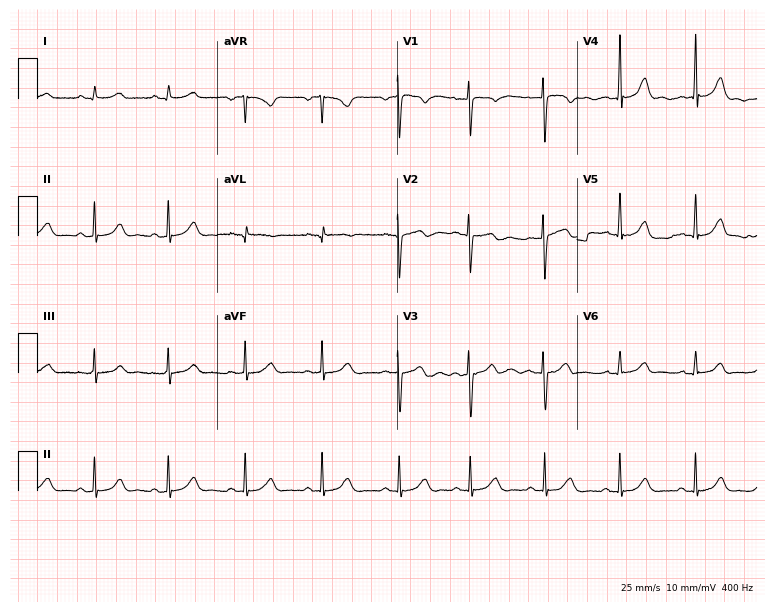
Resting 12-lead electrocardiogram. Patient: a 24-year-old female. None of these six findings is recorded: first-degree AV block, right bundle branch block, left bundle branch block, sinus bradycardia, atrial fibrillation, sinus tachycardia.